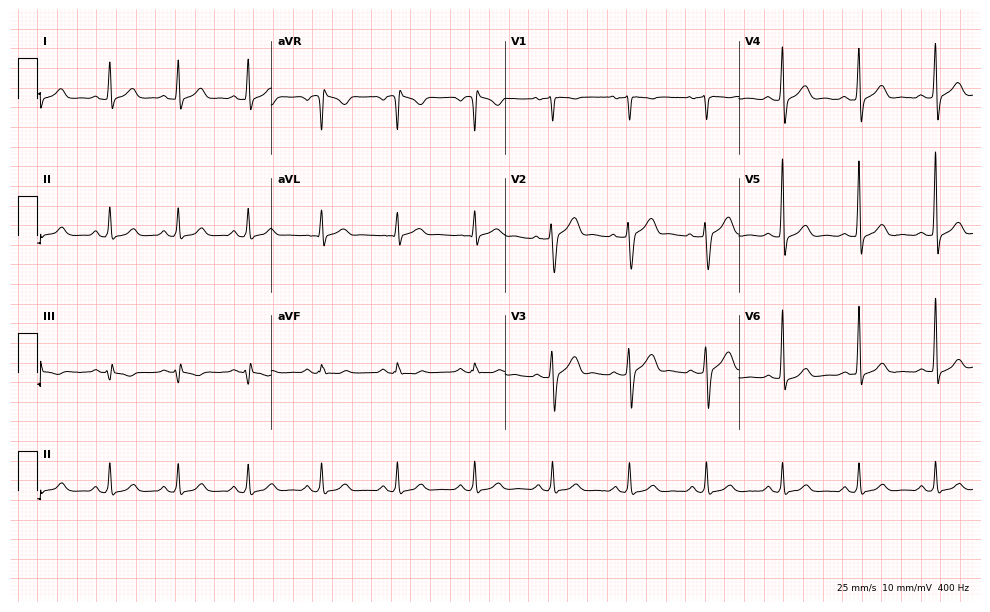
Electrocardiogram (9.5-second recording at 400 Hz), a male, 47 years old. Overall reading on record: normal ECG.